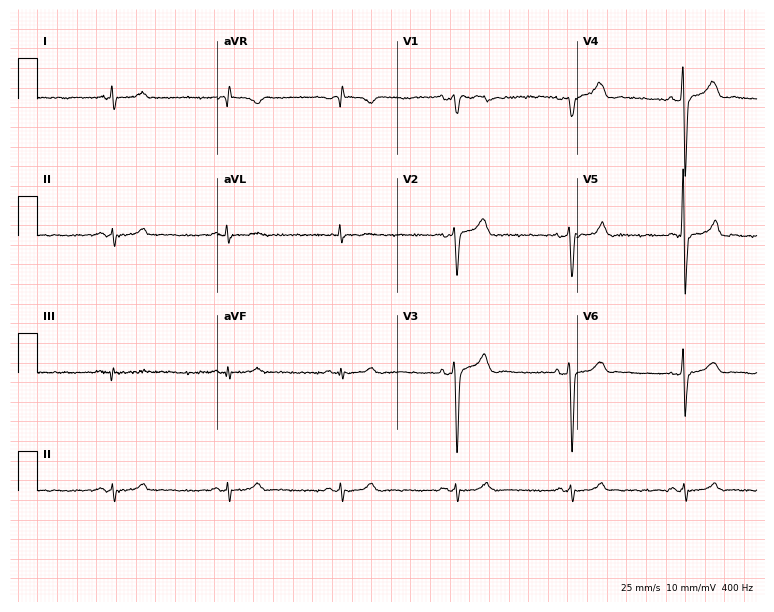
Electrocardiogram (7.3-second recording at 400 Hz), a 52-year-old male patient. Overall reading on record: normal ECG.